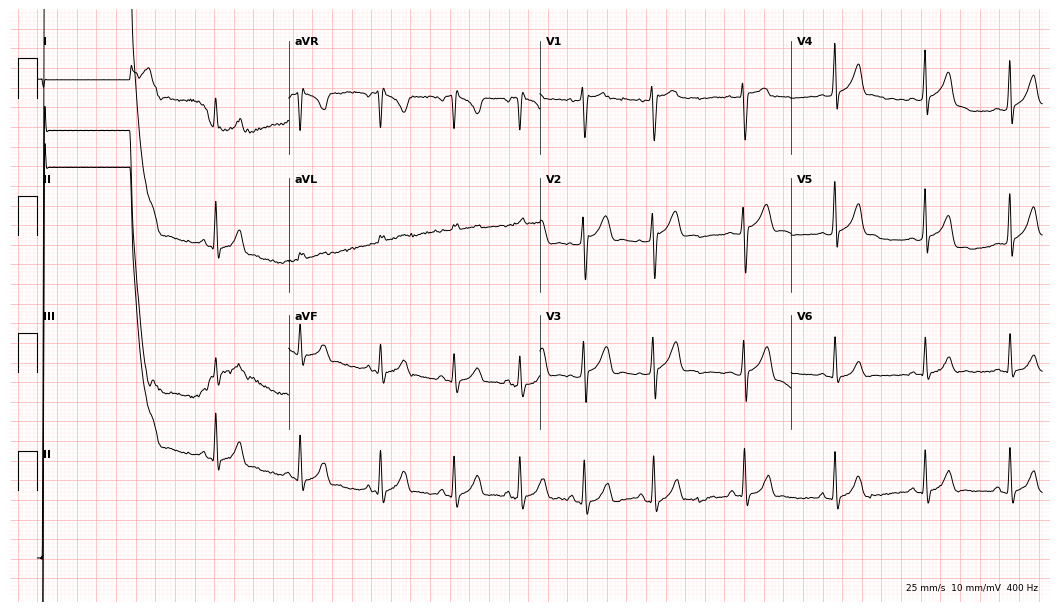
12-lead ECG (10.2-second recording at 400 Hz) from a male, 20 years old. Labelled as a normal ECG.